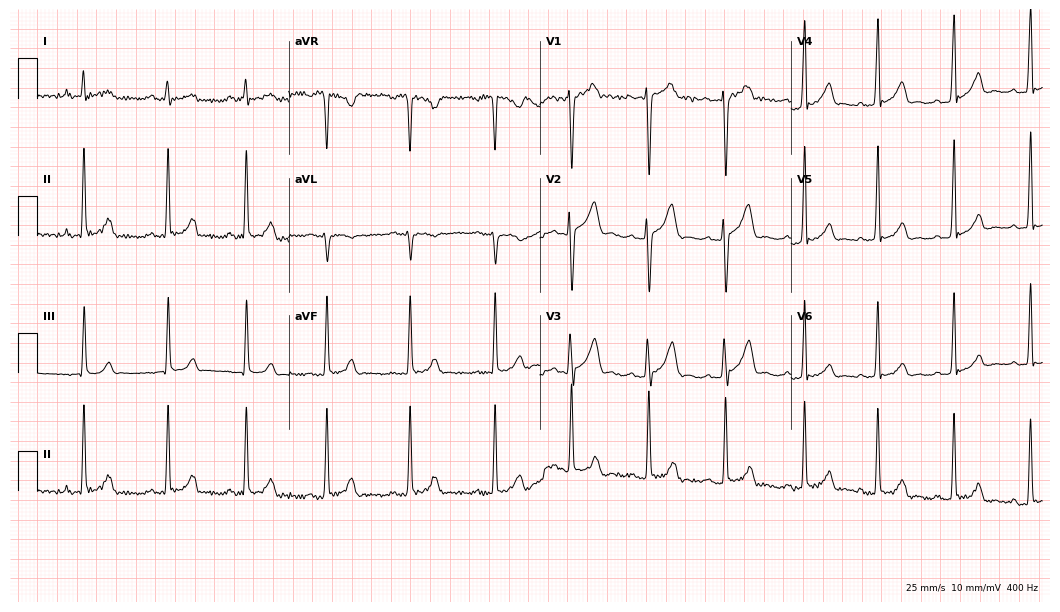
12-lead ECG from a man, 18 years old (10.2-second recording at 400 Hz). Recorded interpretation: within normal limits.